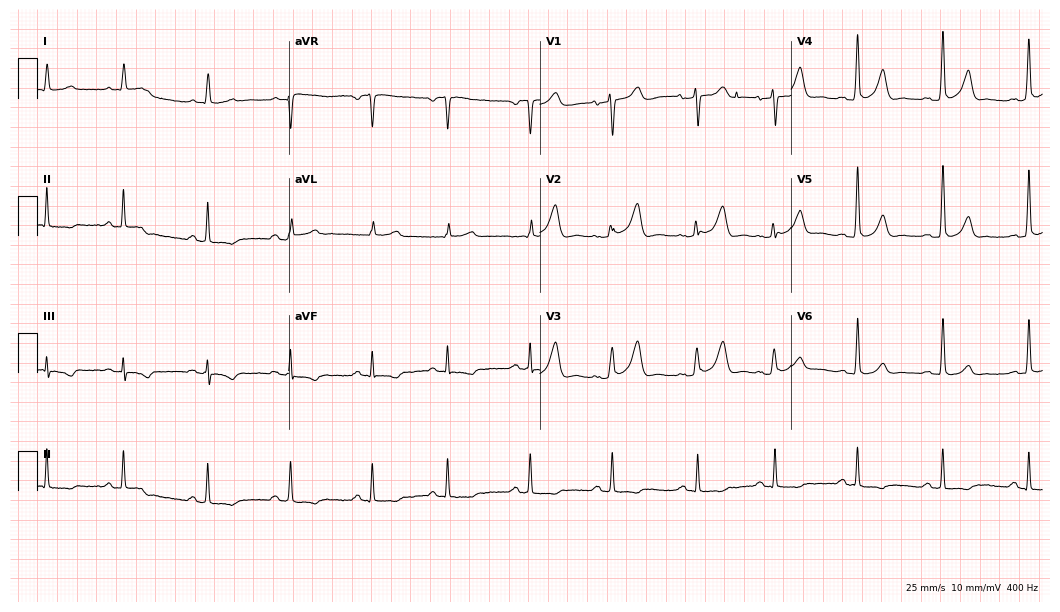
12-lead ECG from a 58-year-old female. No first-degree AV block, right bundle branch block (RBBB), left bundle branch block (LBBB), sinus bradycardia, atrial fibrillation (AF) or sinus tachycardia recorded for this tracing. Findings outside these six are not listed.